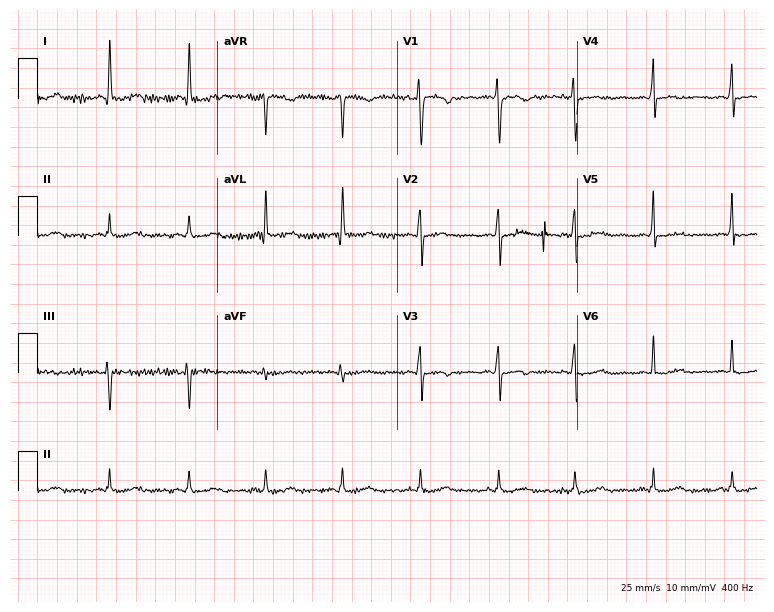
12-lead ECG (7.3-second recording at 400 Hz) from a 44-year-old woman. Screened for six findings — first-degree AV block, right bundle branch block, left bundle branch block, sinus bradycardia, atrial fibrillation, sinus tachycardia — none is recorded. Other findings, if any, are not listed.